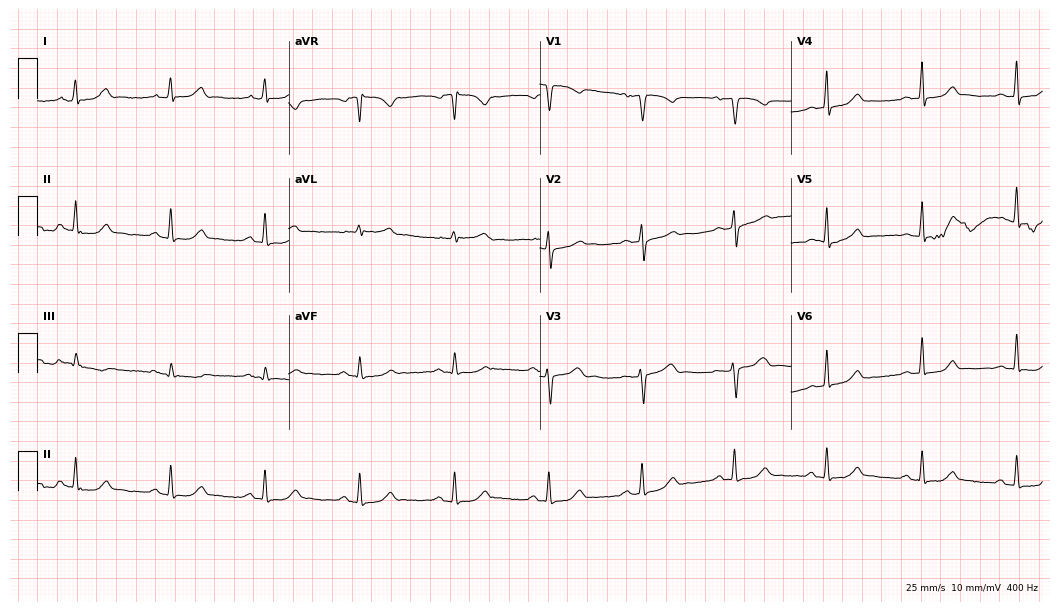
12-lead ECG from a woman, 56 years old (10.2-second recording at 400 Hz). Recorded interpretation: within normal limits.